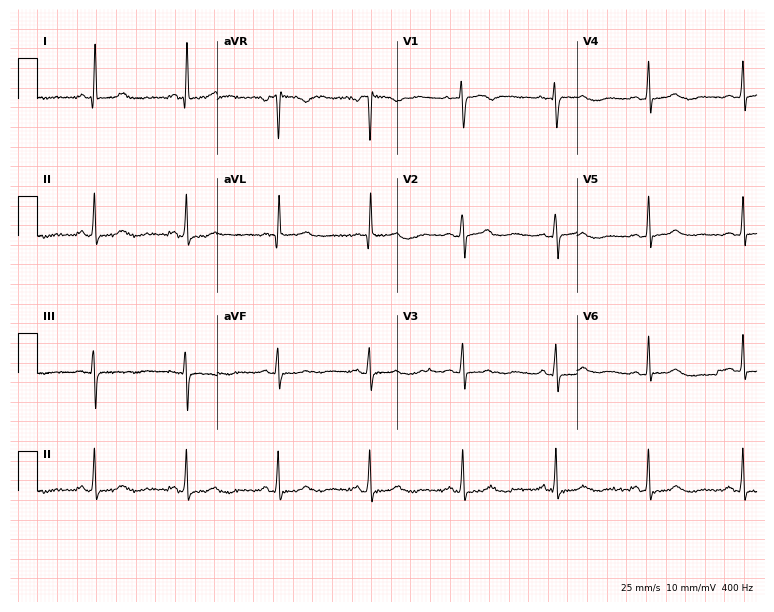
ECG — a female patient, 47 years old. Screened for six findings — first-degree AV block, right bundle branch block (RBBB), left bundle branch block (LBBB), sinus bradycardia, atrial fibrillation (AF), sinus tachycardia — none is recorded.